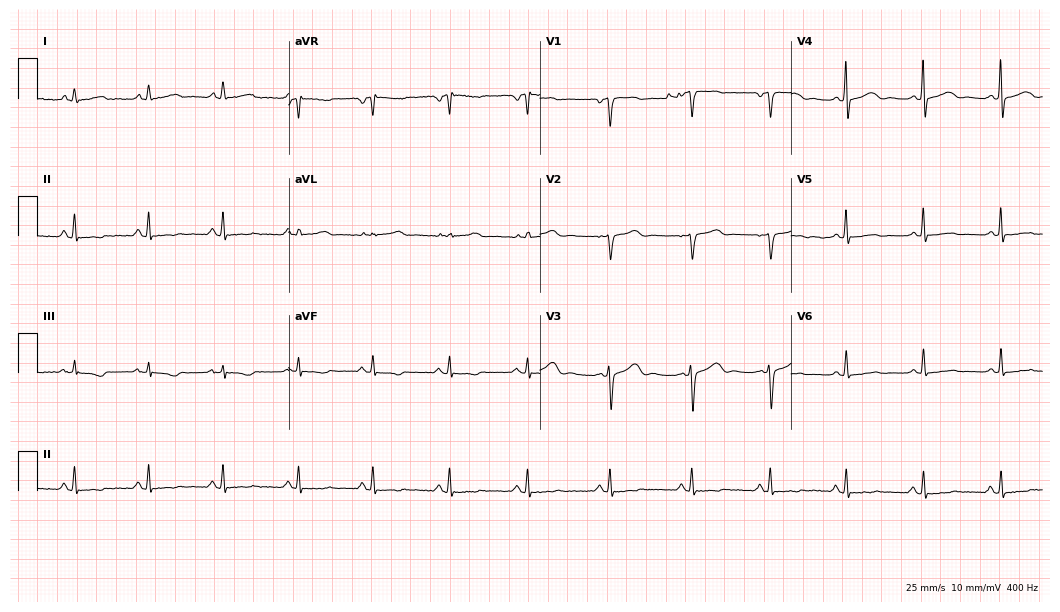
Standard 12-lead ECG recorded from a 47-year-old woman. None of these six findings is recorded: first-degree AV block, right bundle branch block, left bundle branch block, sinus bradycardia, atrial fibrillation, sinus tachycardia.